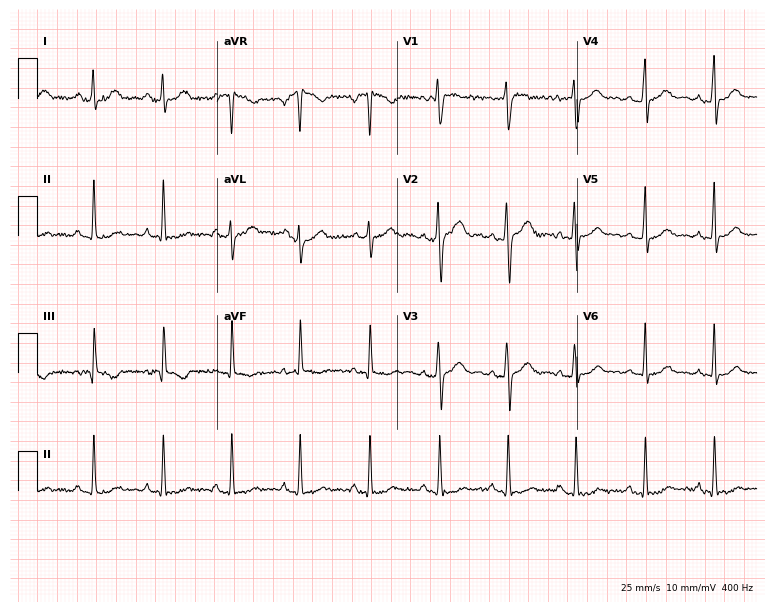
12-lead ECG from a female patient, 33 years old. No first-degree AV block, right bundle branch block, left bundle branch block, sinus bradycardia, atrial fibrillation or sinus tachycardia recorded for this tracing.